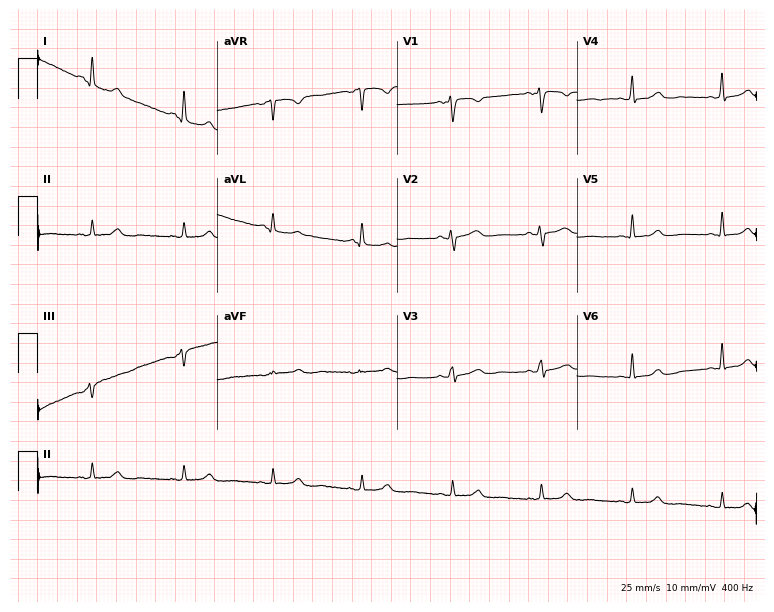
12-lead ECG from a male, 54 years old (7.3-second recording at 400 Hz). No first-degree AV block, right bundle branch block, left bundle branch block, sinus bradycardia, atrial fibrillation or sinus tachycardia recorded for this tracing.